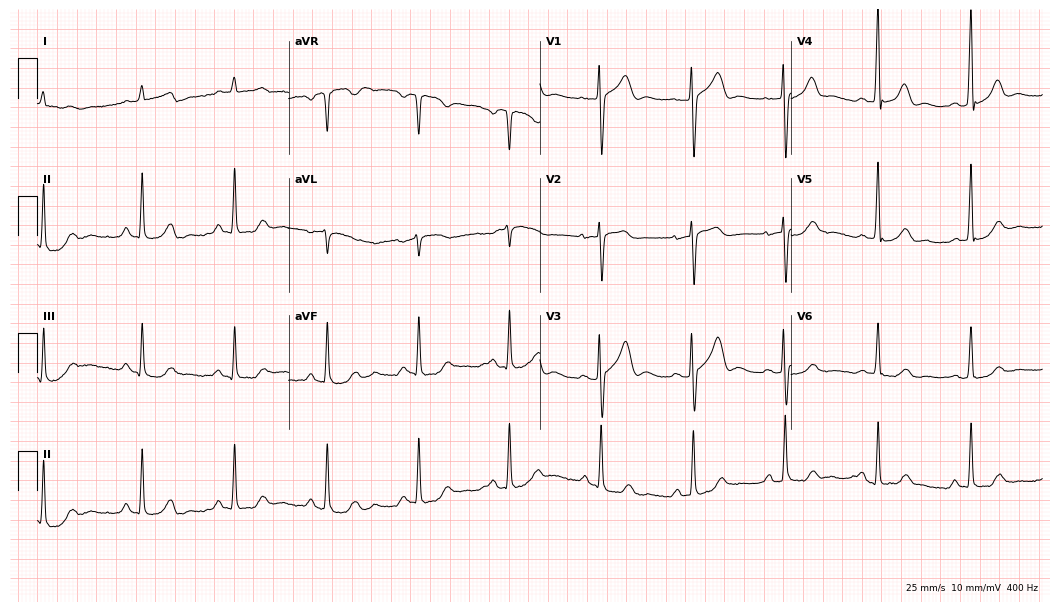
12-lead ECG from a male patient, 82 years old. No first-degree AV block, right bundle branch block, left bundle branch block, sinus bradycardia, atrial fibrillation or sinus tachycardia recorded for this tracing.